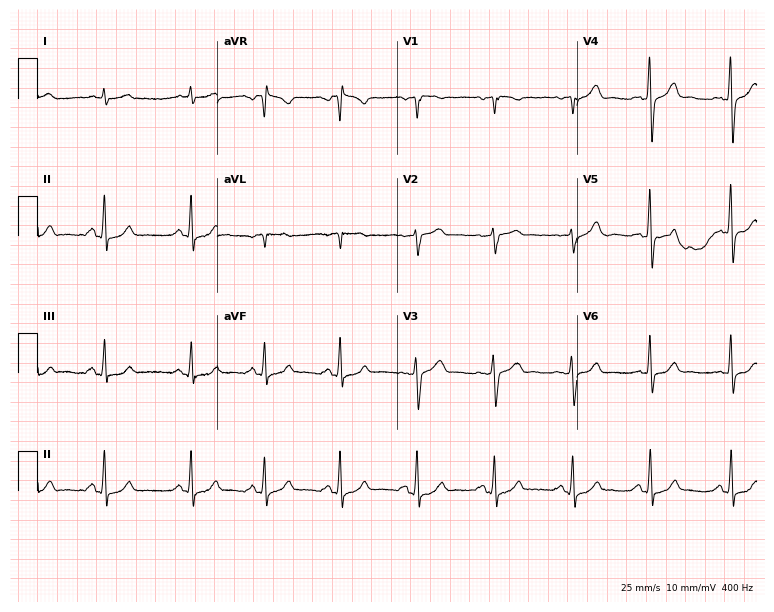
12-lead ECG from a 45-year-old man. Recorded interpretation: within normal limits.